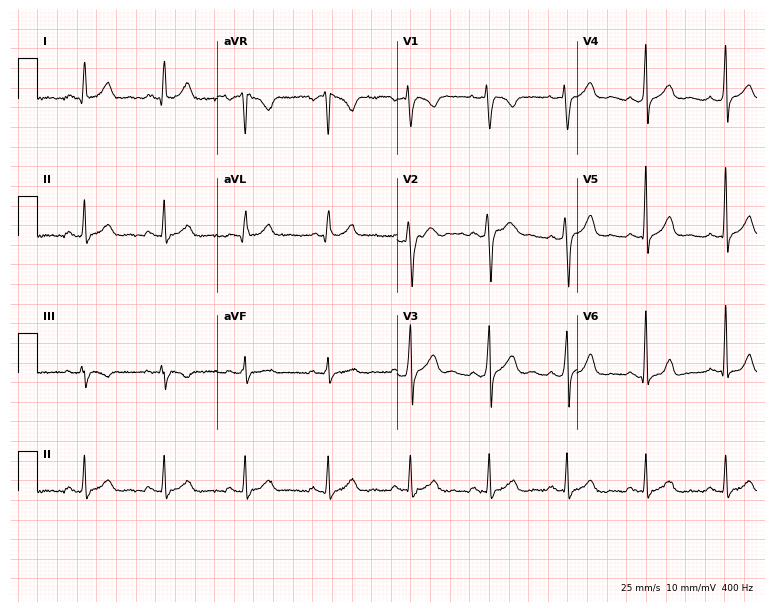
12-lead ECG from a man, 33 years old. Screened for six findings — first-degree AV block, right bundle branch block, left bundle branch block, sinus bradycardia, atrial fibrillation, sinus tachycardia — none is recorded. Findings outside these six are not listed.